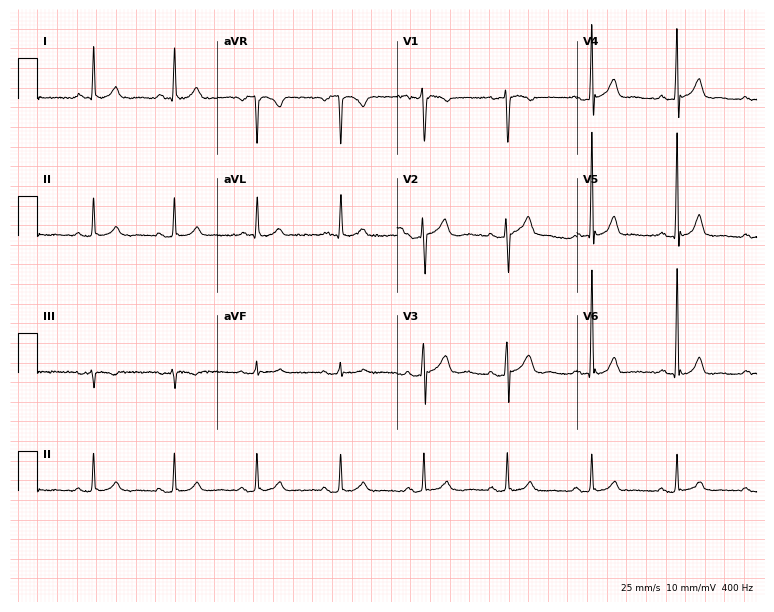
ECG — a 54-year-old male. Labelled as a normal ECG.